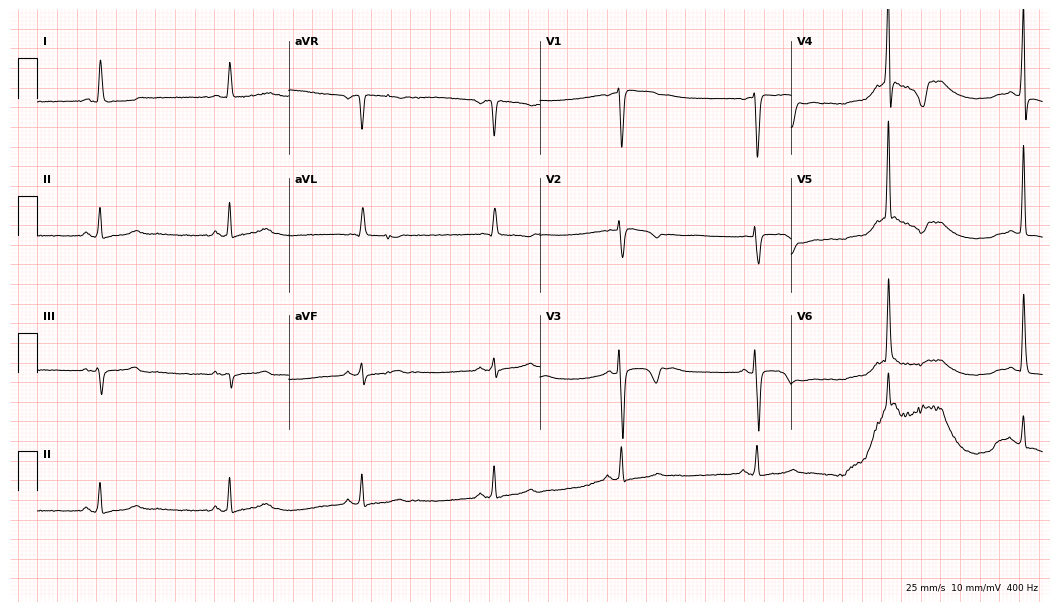
12-lead ECG from a 43-year-old female. Shows sinus bradycardia (a sinus rate of 50 beats per minute or less).